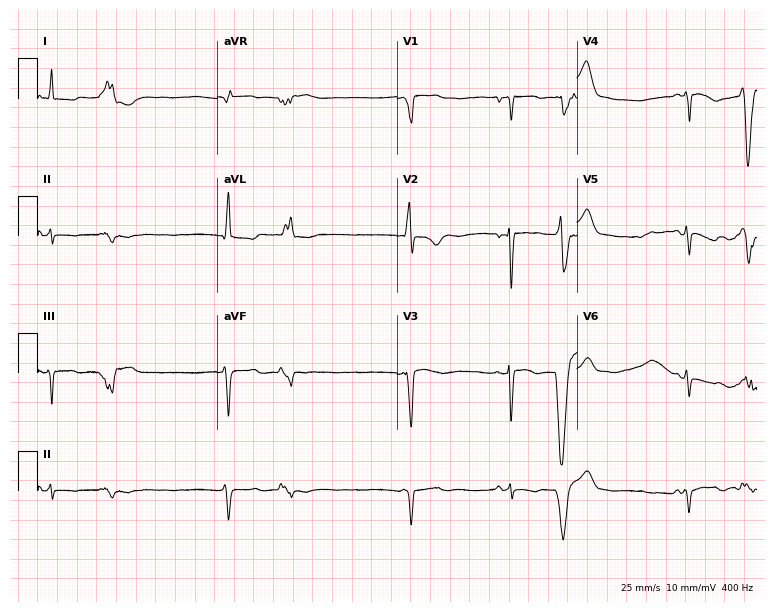
12-lead ECG from a woman, 84 years old. No first-degree AV block, right bundle branch block, left bundle branch block, sinus bradycardia, atrial fibrillation or sinus tachycardia recorded for this tracing. Only these six findings were labelled.